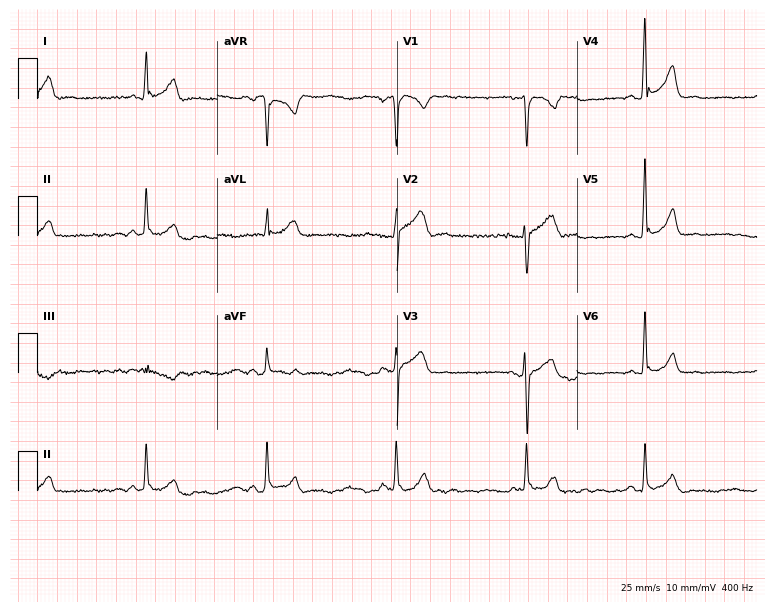
Electrocardiogram, a 24-year-old male. Interpretation includes sinus bradycardia (a sinus rate of 50 beats per minute or less).